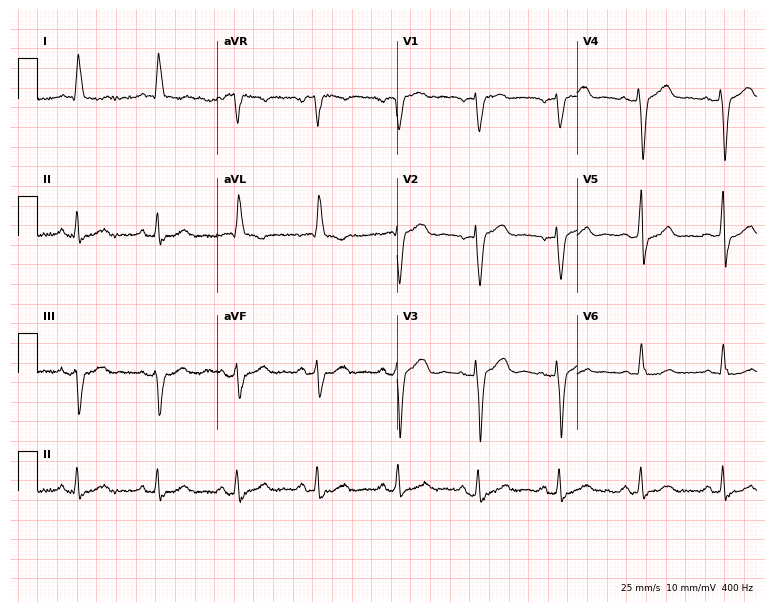
12-lead ECG from a 63-year-old woman. Screened for six findings — first-degree AV block, right bundle branch block, left bundle branch block, sinus bradycardia, atrial fibrillation, sinus tachycardia — none is recorded. Findings outside these six are not listed.